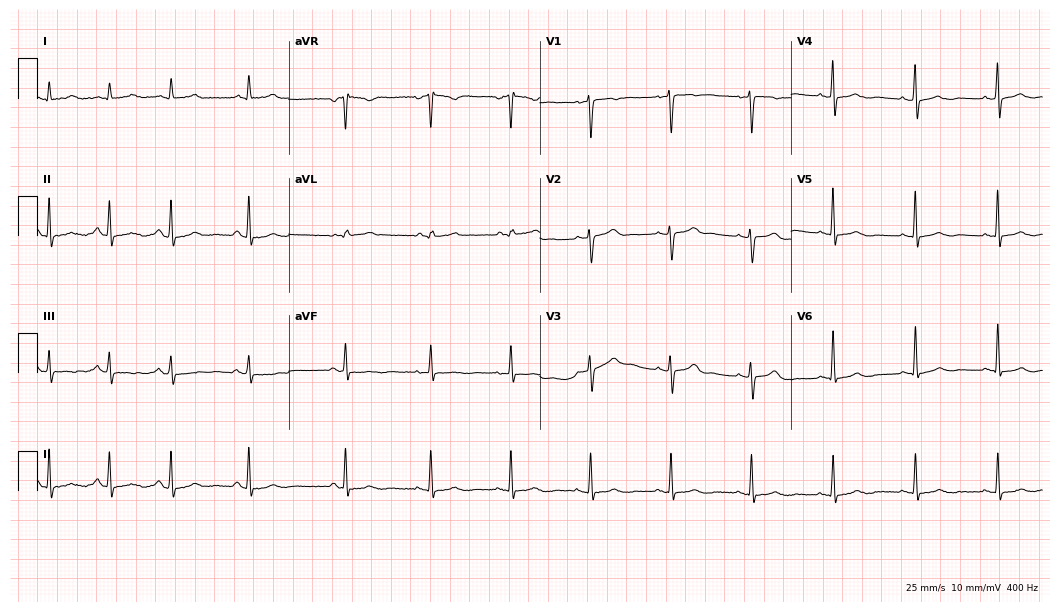
Resting 12-lead electrocardiogram. Patient: a 44-year-old female. Read as a normal ECG.